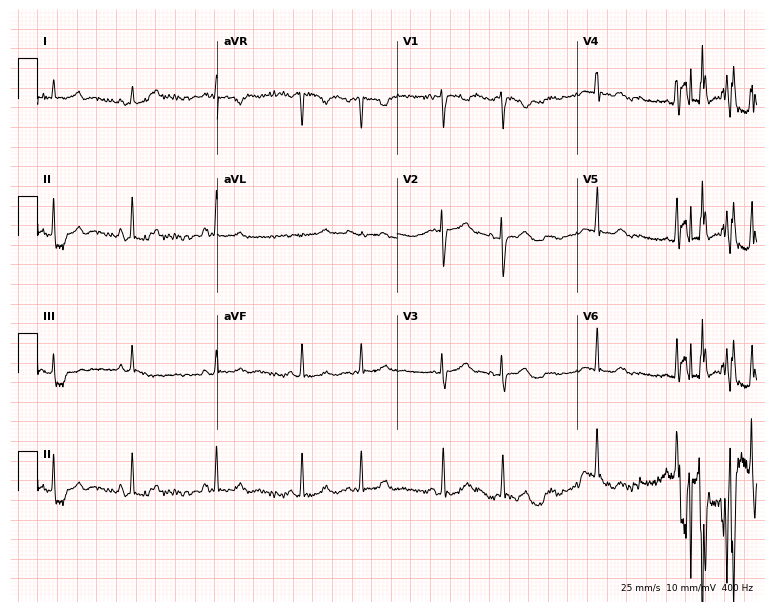
Resting 12-lead electrocardiogram (7.3-second recording at 400 Hz). Patient: a 20-year-old female. Read as a normal ECG.